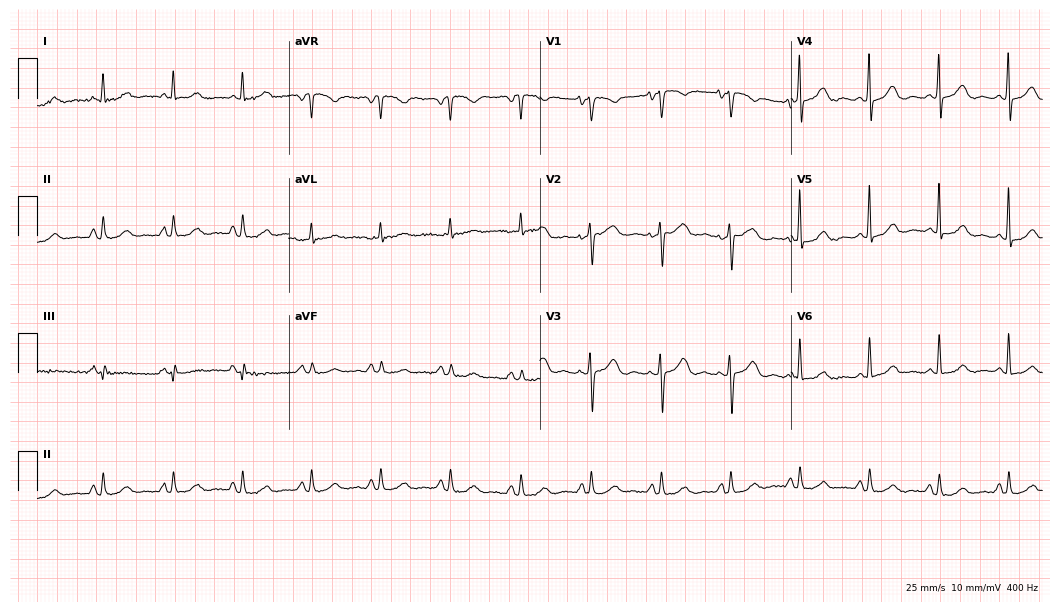
Electrocardiogram, a 78-year-old female. Overall reading on record: normal ECG.